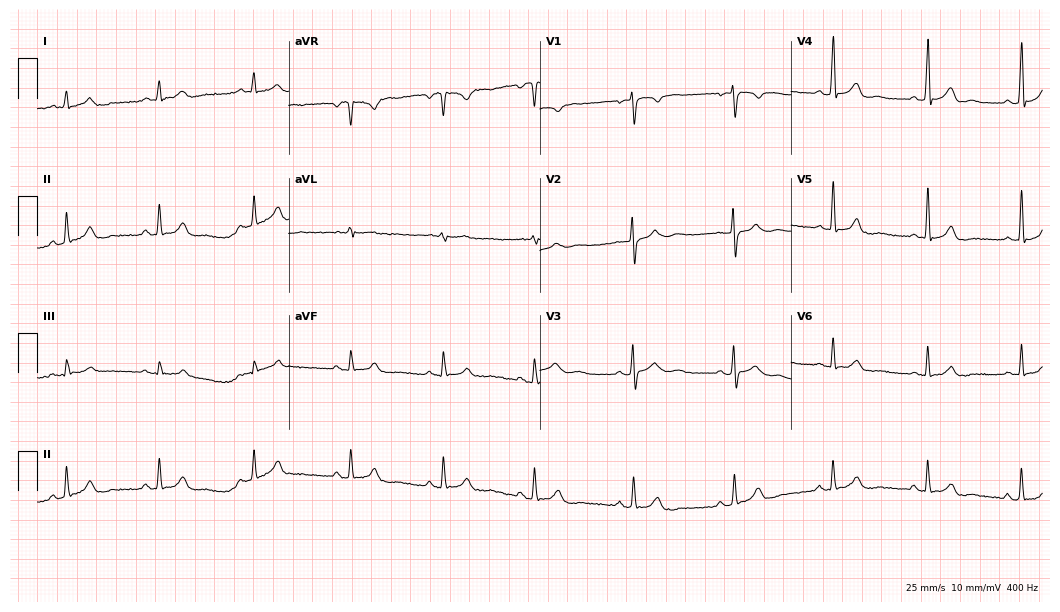
Resting 12-lead electrocardiogram. Patient: a 22-year-old male. None of these six findings is recorded: first-degree AV block, right bundle branch block (RBBB), left bundle branch block (LBBB), sinus bradycardia, atrial fibrillation (AF), sinus tachycardia.